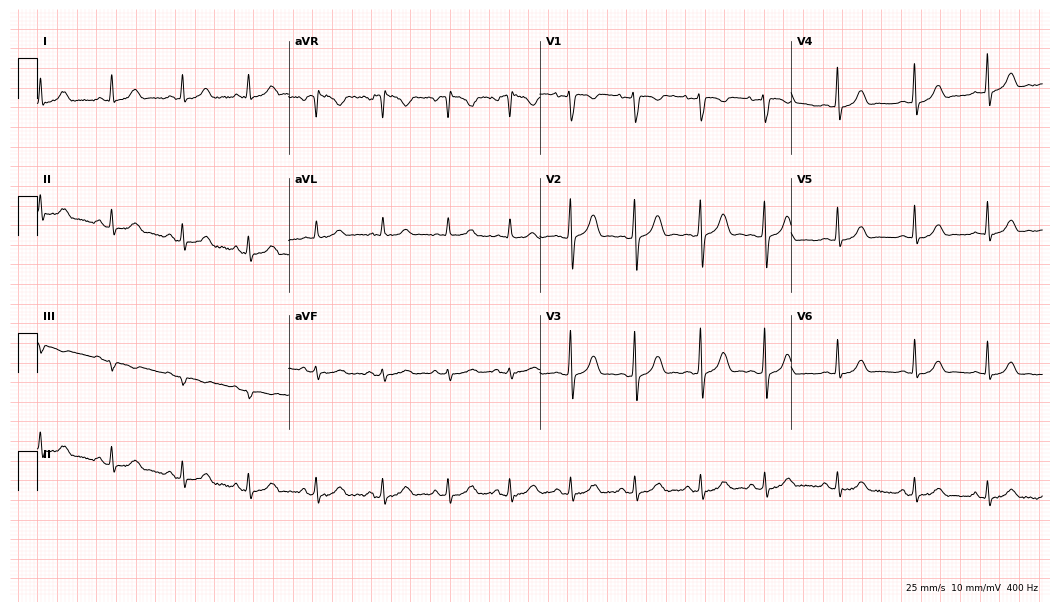
ECG (10.2-second recording at 400 Hz) — a 31-year-old female. Labelled as a normal ECG.